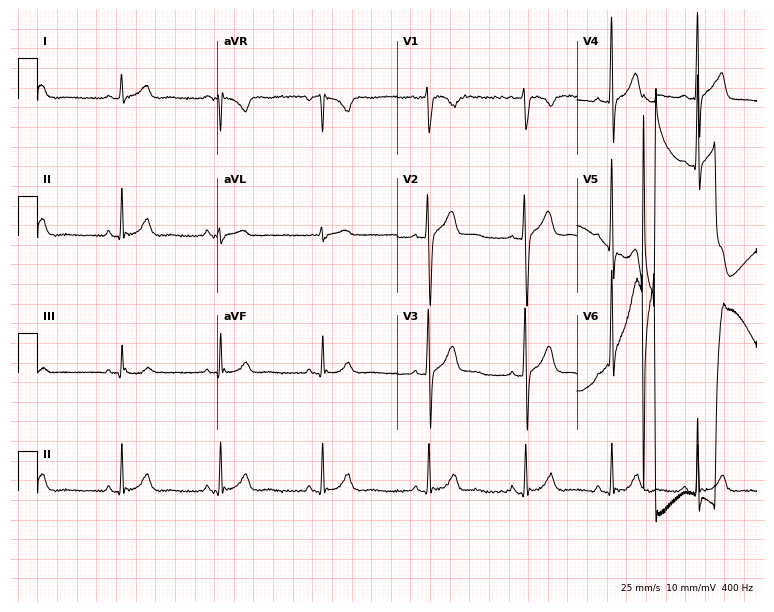
12-lead ECG from a male patient, 21 years old. No first-degree AV block, right bundle branch block (RBBB), left bundle branch block (LBBB), sinus bradycardia, atrial fibrillation (AF) or sinus tachycardia recorded for this tracing.